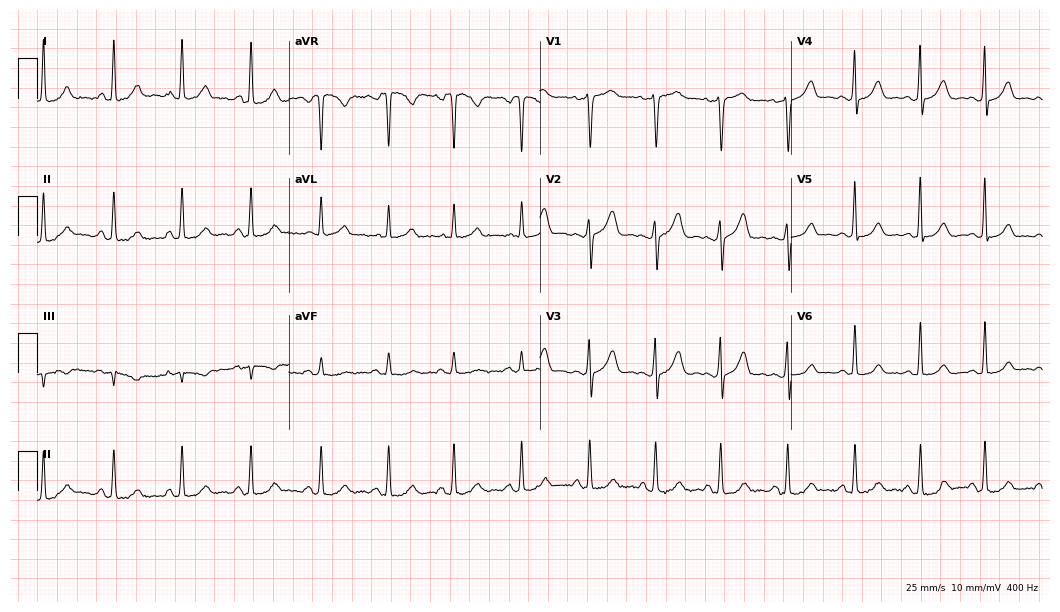
Electrocardiogram, a 39-year-old female patient. Overall reading on record: normal ECG.